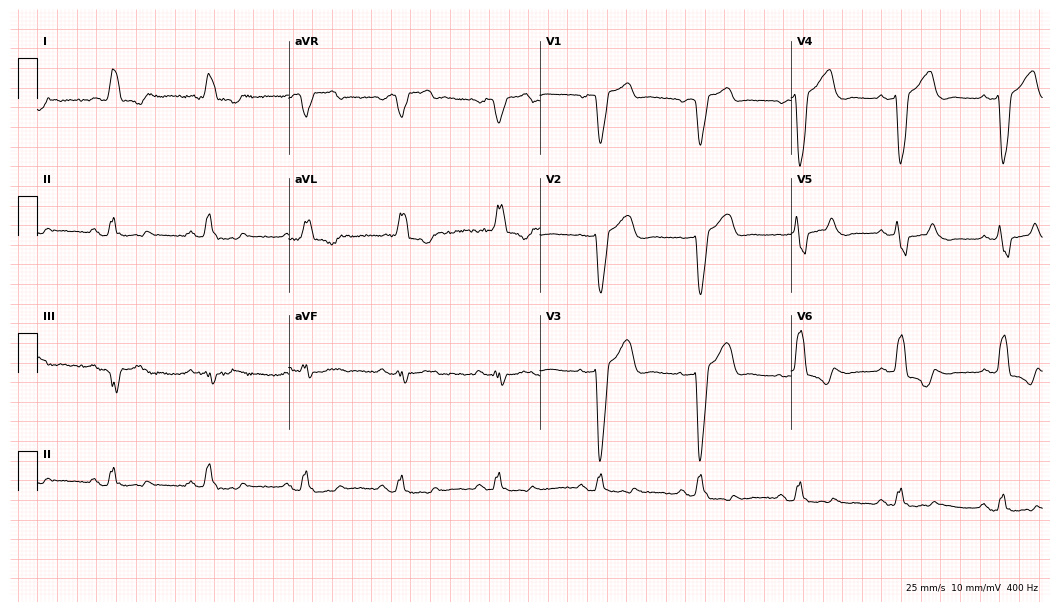
Resting 12-lead electrocardiogram (10.2-second recording at 400 Hz). Patient: a male, 76 years old. The tracing shows left bundle branch block.